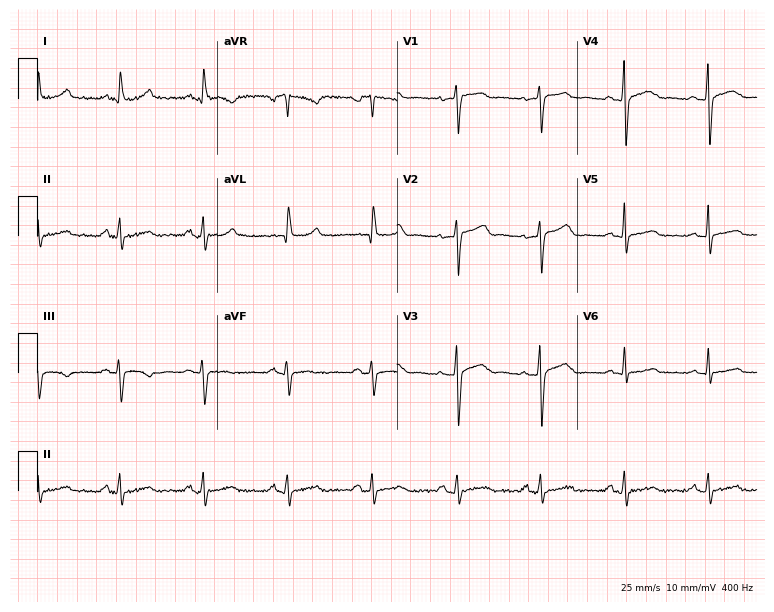
ECG (7.3-second recording at 400 Hz) — a 58-year-old female patient. Labelled as a normal ECG.